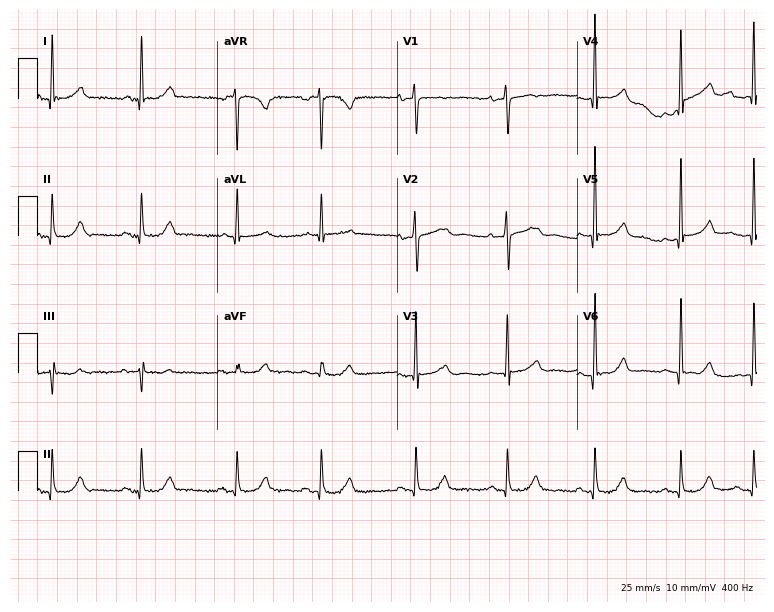
12-lead ECG from a 59-year-old female. Labelled as a normal ECG.